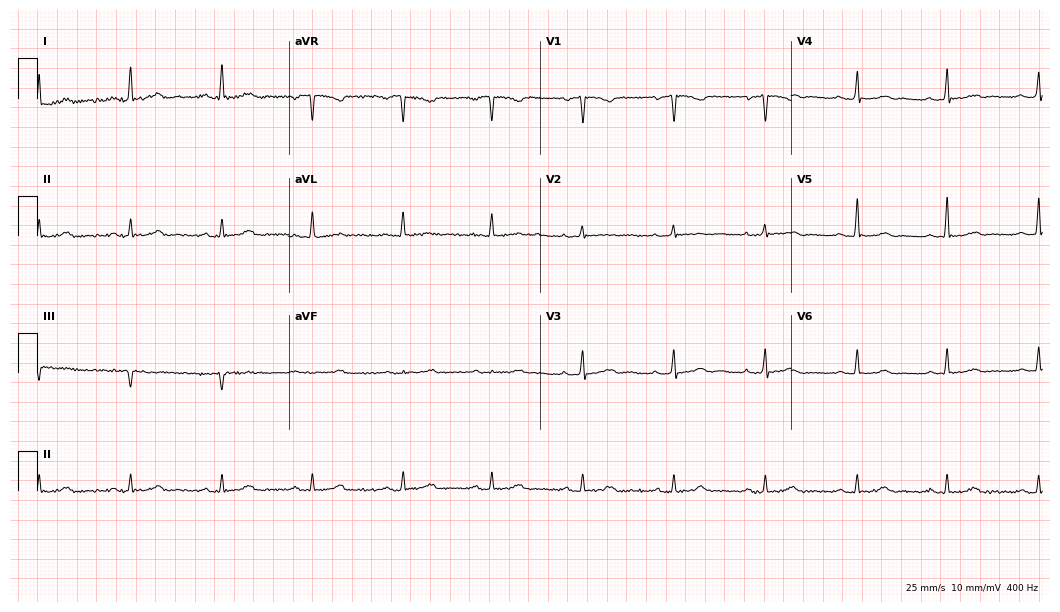
Standard 12-lead ECG recorded from a female patient, 53 years old (10.2-second recording at 400 Hz). None of these six findings is recorded: first-degree AV block, right bundle branch block, left bundle branch block, sinus bradycardia, atrial fibrillation, sinus tachycardia. Other findings, if any, are not listed.